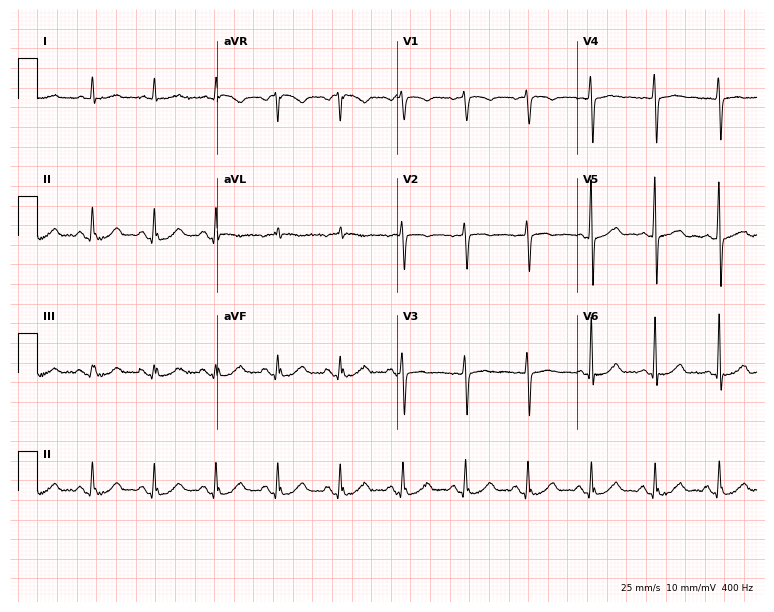
Resting 12-lead electrocardiogram. Patient: a female, 61 years old. None of these six findings is recorded: first-degree AV block, right bundle branch block, left bundle branch block, sinus bradycardia, atrial fibrillation, sinus tachycardia. Only these six findings were labelled.